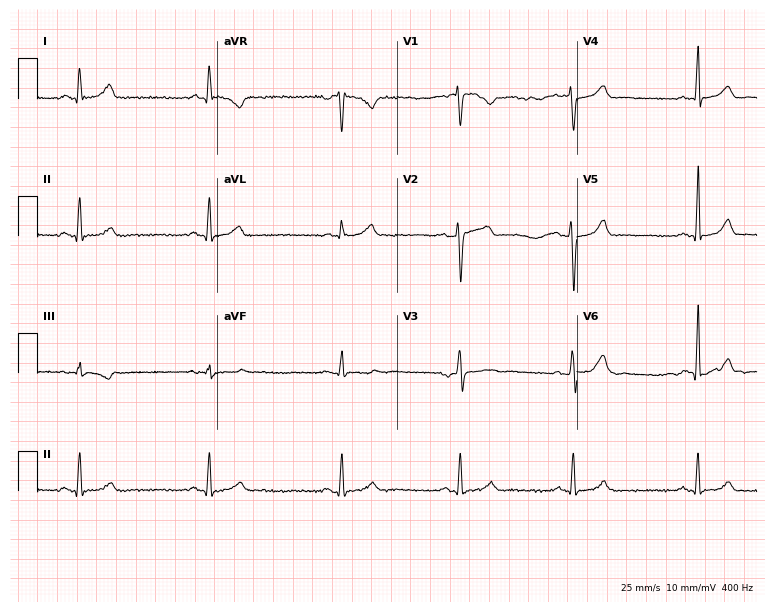
ECG — a 51-year-old woman. Findings include sinus bradycardia (a sinus rate of 50 beats per minute or less).